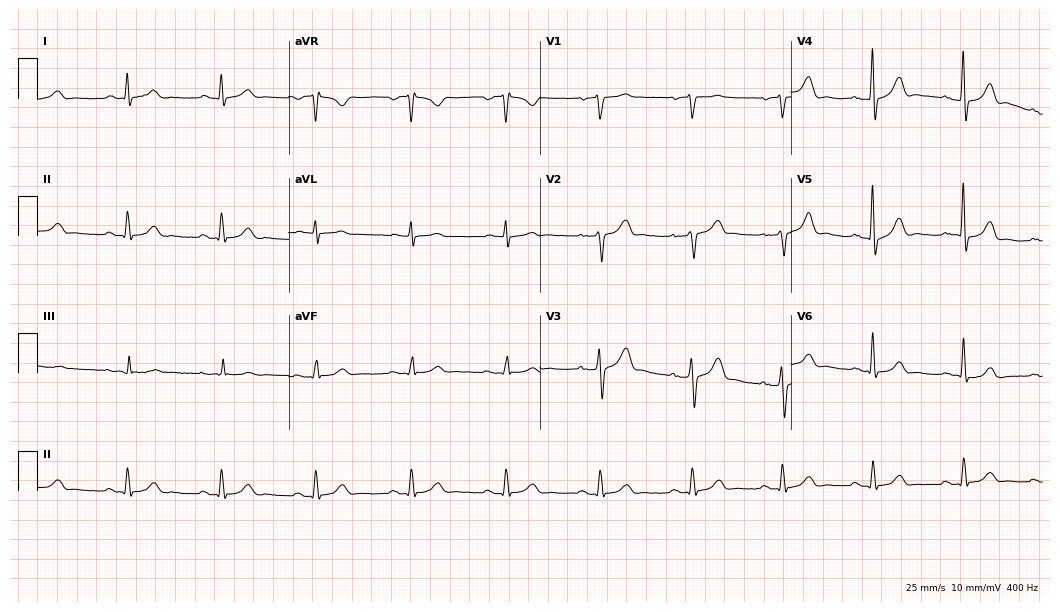
ECG — a 48-year-old man. Screened for six findings — first-degree AV block, right bundle branch block, left bundle branch block, sinus bradycardia, atrial fibrillation, sinus tachycardia — none is recorded.